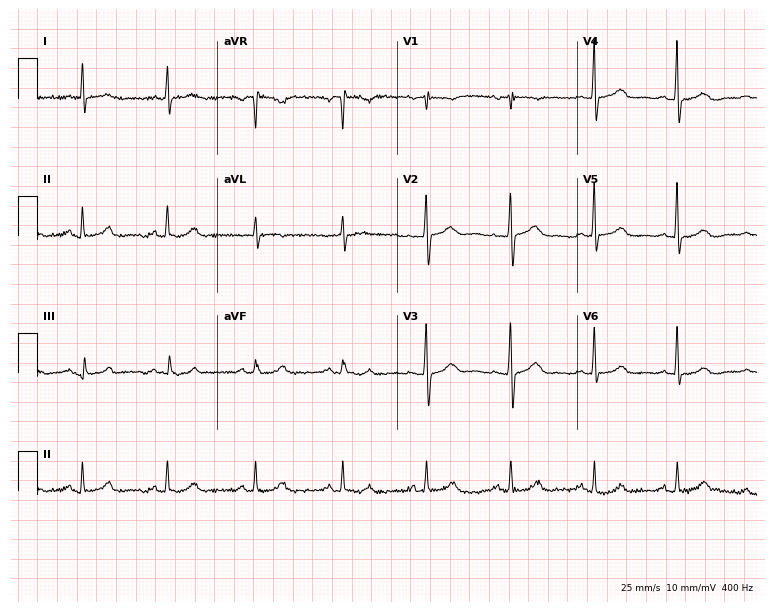
12-lead ECG from a 45-year-old female. Labelled as a normal ECG.